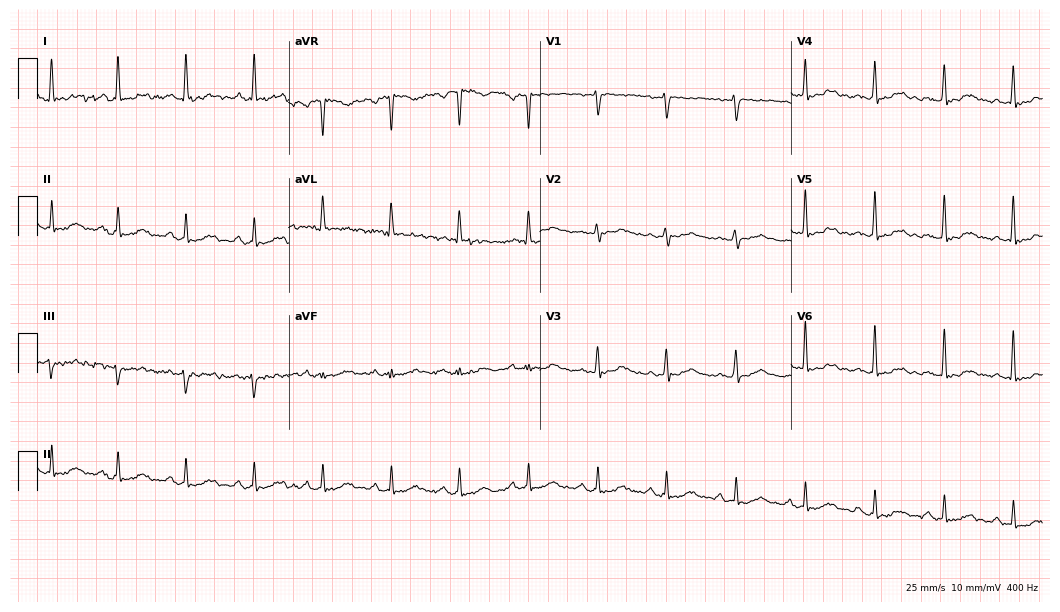
Resting 12-lead electrocardiogram (10.2-second recording at 400 Hz). Patient: a 52-year-old woman. None of these six findings is recorded: first-degree AV block, right bundle branch block, left bundle branch block, sinus bradycardia, atrial fibrillation, sinus tachycardia. Other findings, if any, are not listed.